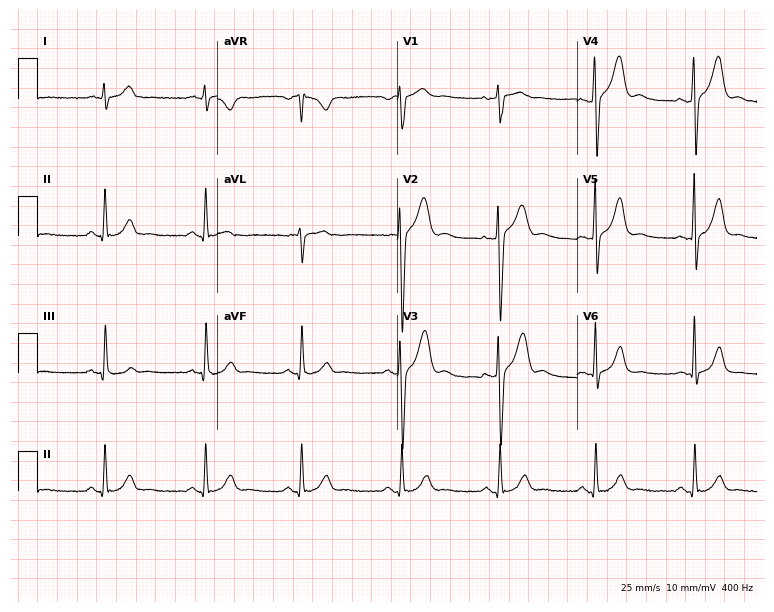
Resting 12-lead electrocardiogram. Patient: a male, 42 years old. Read as a normal ECG.